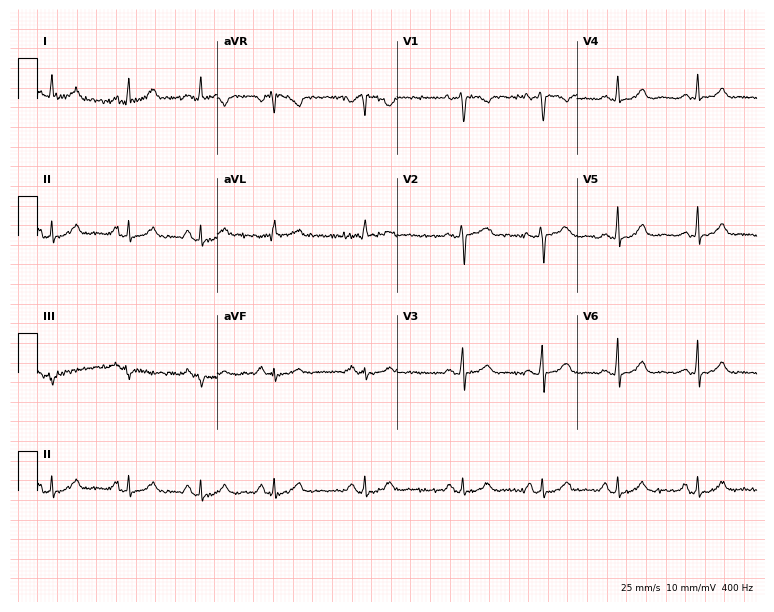
12-lead ECG from a female patient, 25 years old. Labelled as a normal ECG.